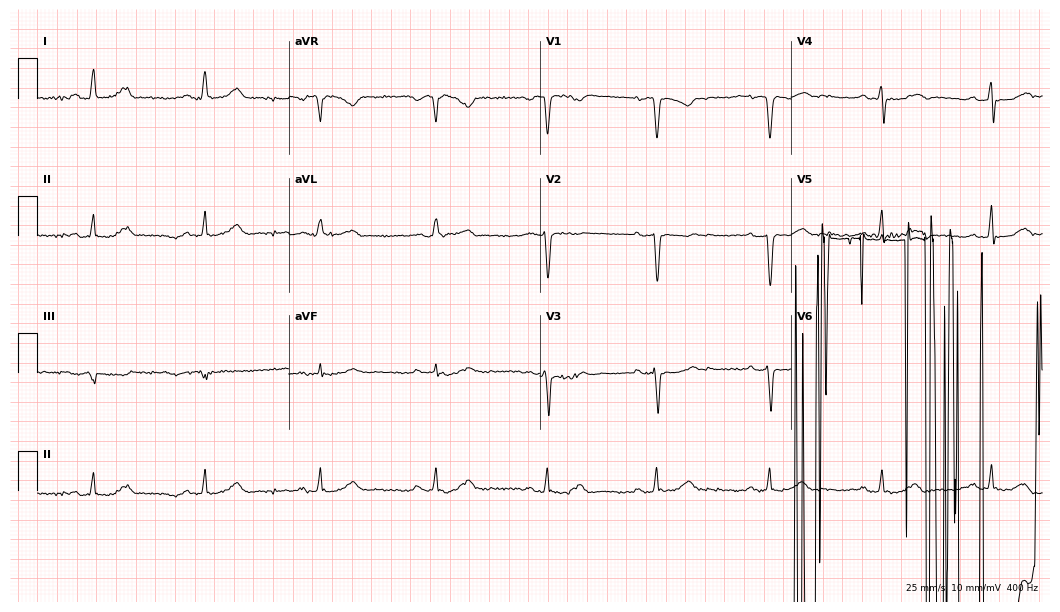
ECG (10.2-second recording at 400 Hz) — a female patient, 70 years old. Screened for six findings — first-degree AV block, right bundle branch block, left bundle branch block, sinus bradycardia, atrial fibrillation, sinus tachycardia — none is recorded.